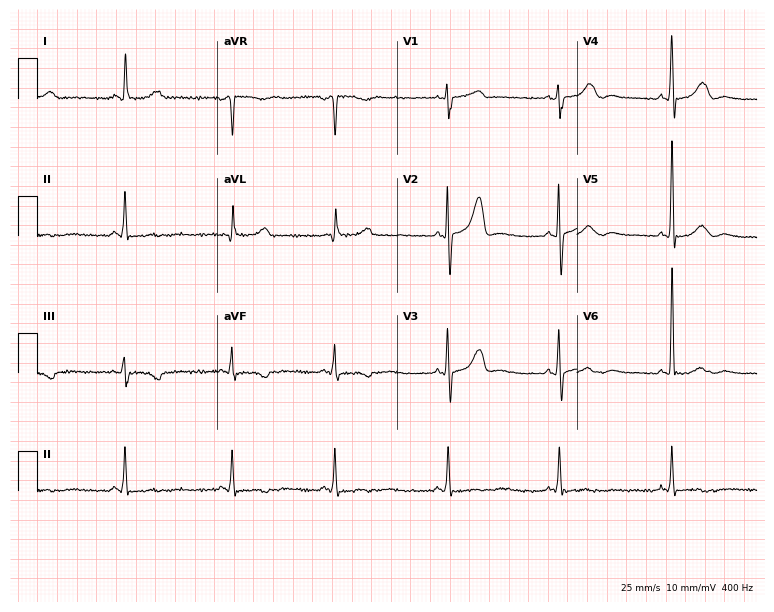
12-lead ECG (7.3-second recording at 400 Hz) from a 73-year-old female patient. Screened for six findings — first-degree AV block, right bundle branch block, left bundle branch block, sinus bradycardia, atrial fibrillation, sinus tachycardia — none is recorded. Only these six findings were labelled.